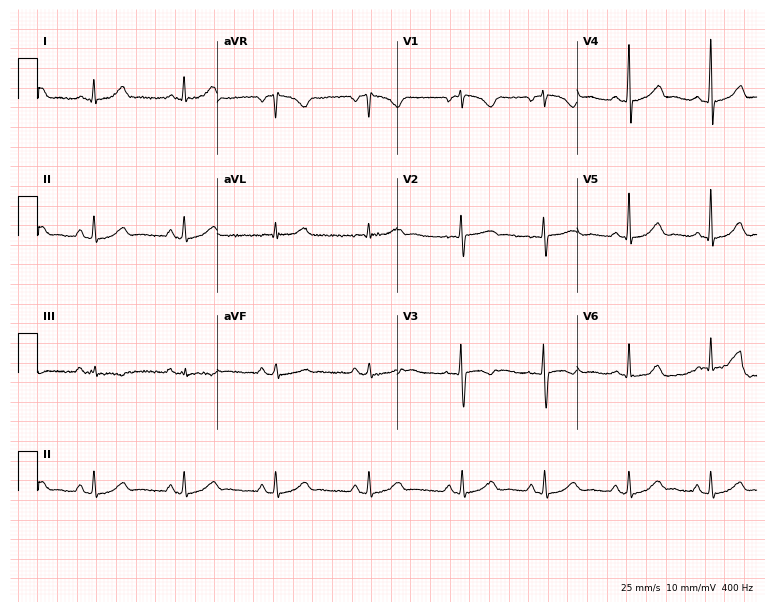
12-lead ECG (7.3-second recording at 400 Hz) from a woman, 38 years old. Screened for six findings — first-degree AV block, right bundle branch block, left bundle branch block, sinus bradycardia, atrial fibrillation, sinus tachycardia — none is recorded. Findings outside these six are not listed.